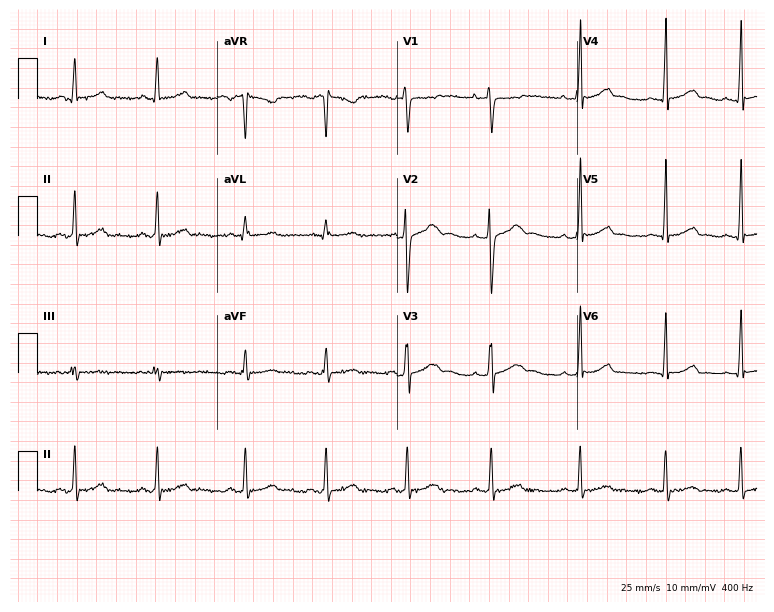
12-lead ECG (7.3-second recording at 400 Hz) from a female patient, 26 years old. Screened for six findings — first-degree AV block, right bundle branch block, left bundle branch block, sinus bradycardia, atrial fibrillation, sinus tachycardia — none is recorded. Findings outside these six are not listed.